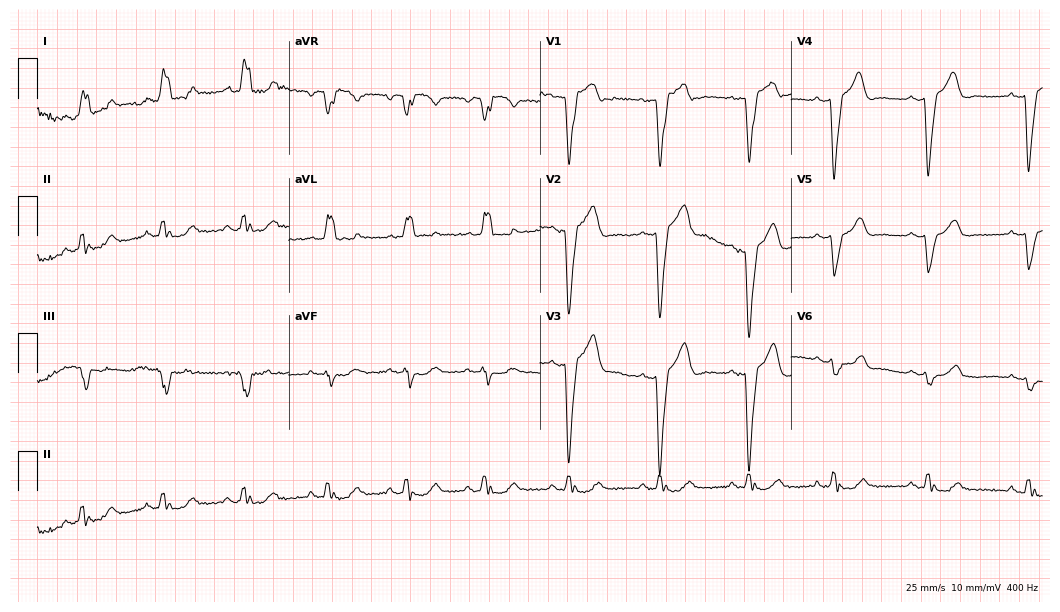
ECG — a 43-year-old female. Findings include left bundle branch block.